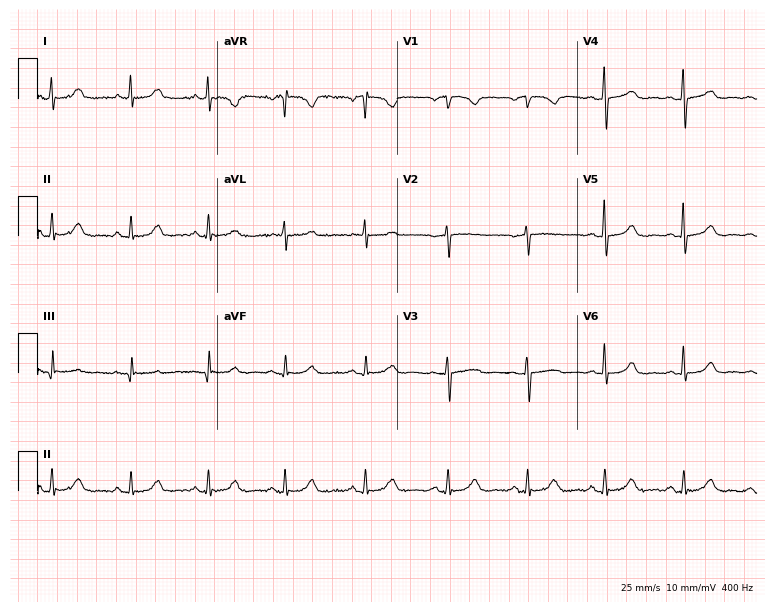
12-lead ECG (7.3-second recording at 400 Hz) from a 54-year-old female patient. Labelled as a normal ECG.